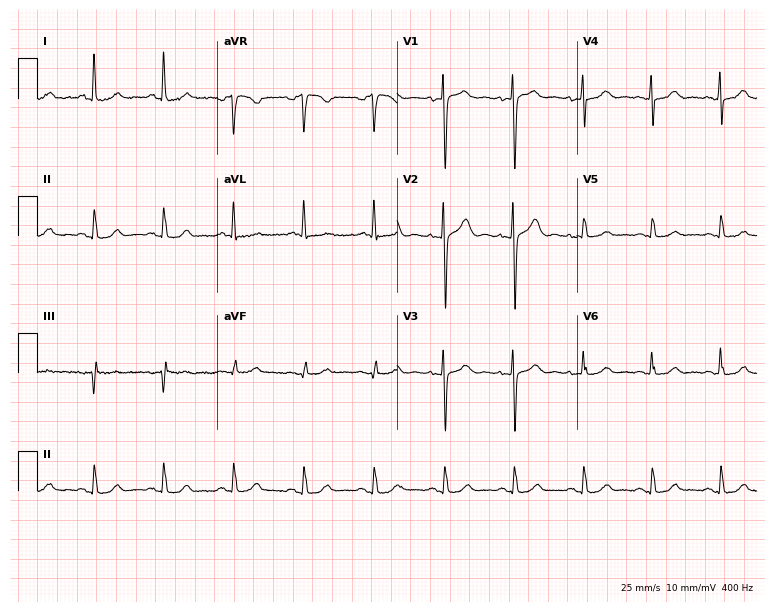
Resting 12-lead electrocardiogram (7.3-second recording at 400 Hz). Patient: a 70-year-old female. Read as a normal ECG.